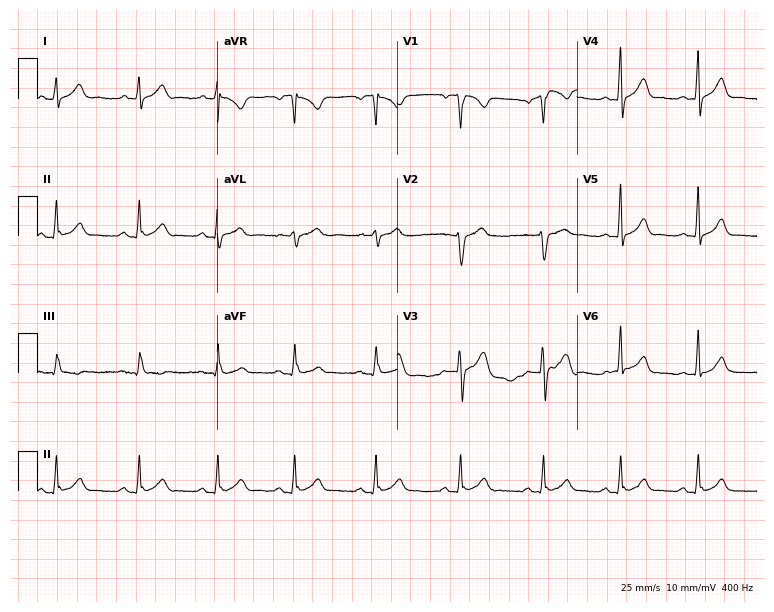
Electrocardiogram (7.3-second recording at 400 Hz), a man, 34 years old. Overall reading on record: normal ECG.